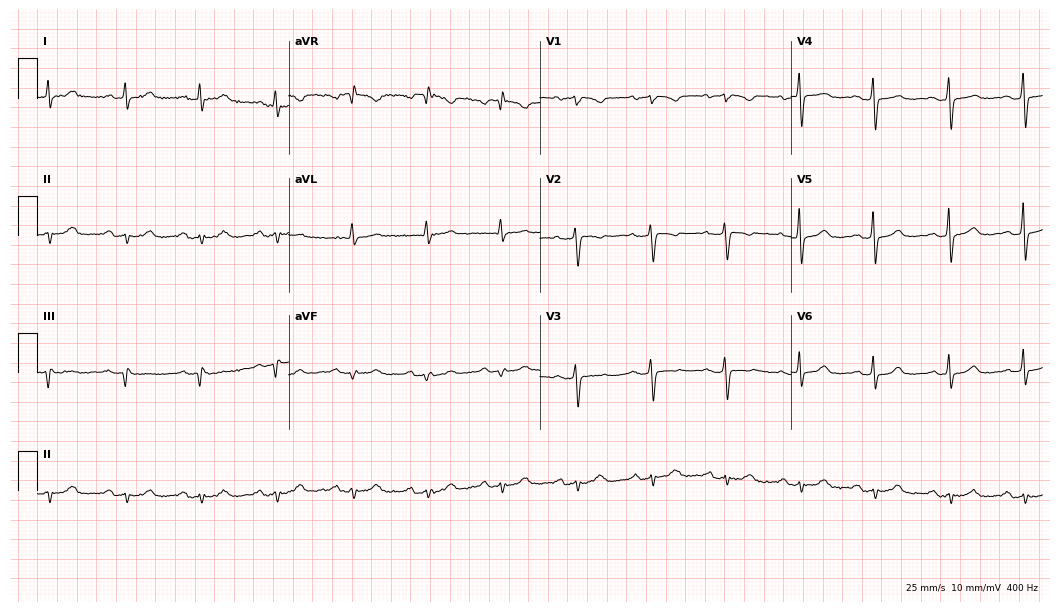
Electrocardiogram (10.2-second recording at 400 Hz), a 63-year-old female. Of the six screened findings (first-degree AV block, right bundle branch block, left bundle branch block, sinus bradycardia, atrial fibrillation, sinus tachycardia), none is recorded.